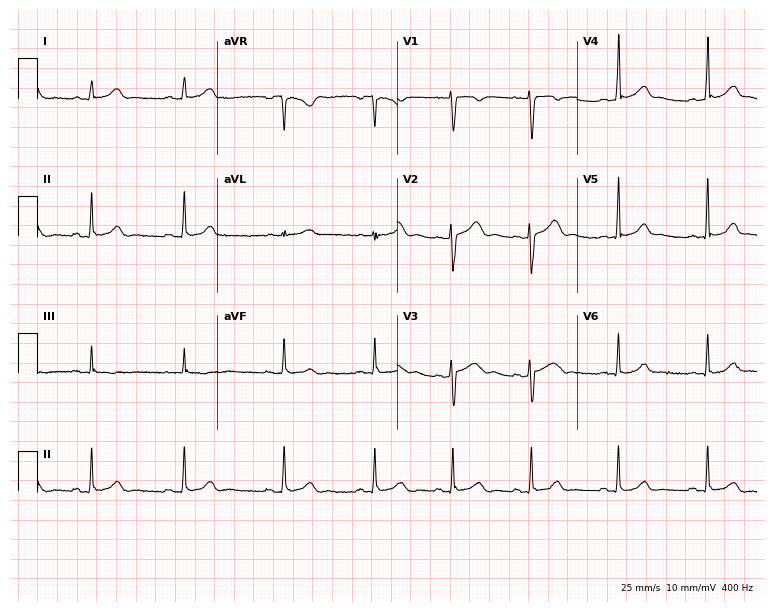
Standard 12-lead ECG recorded from a woman, 17 years old (7.3-second recording at 400 Hz). Read as a normal ECG.